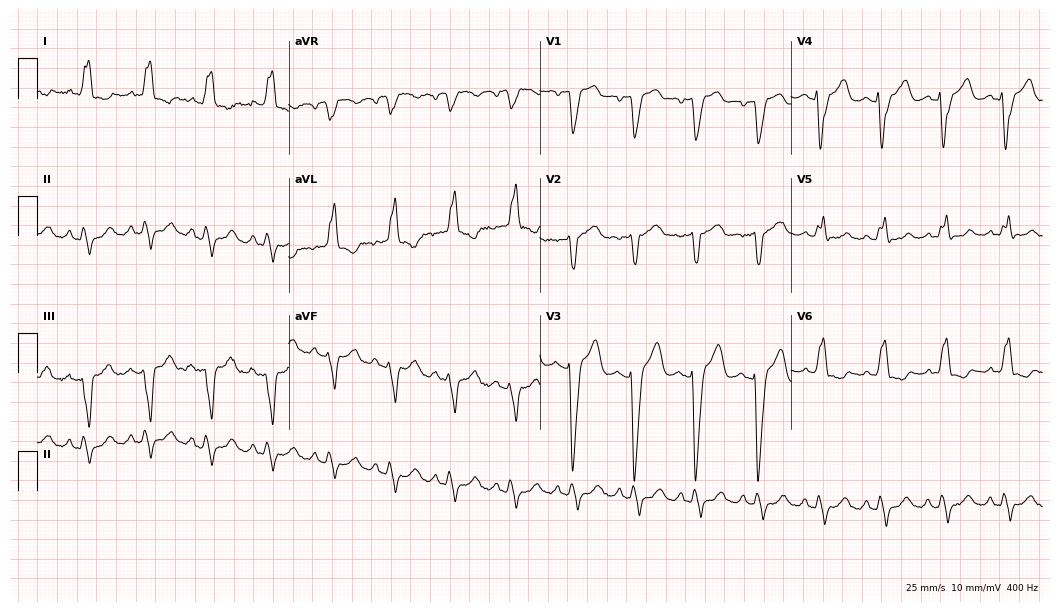
Standard 12-lead ECG recorded from a 62-year-old woman. The tracing shows left bundle branch block.